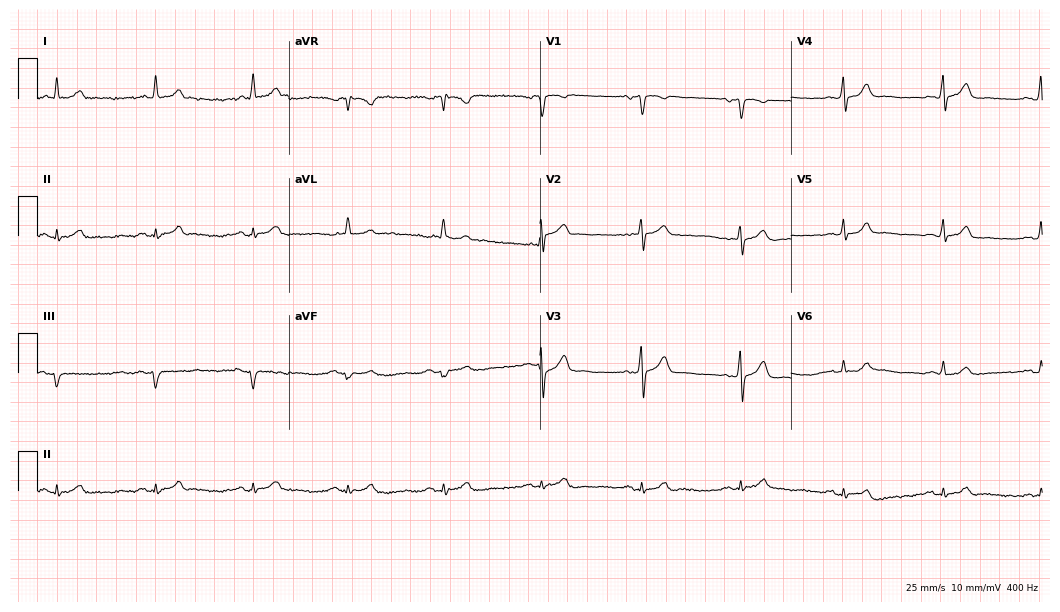
12-lead ECG from a 55-year-old male patient. Recorded interpretation: within normal limits.